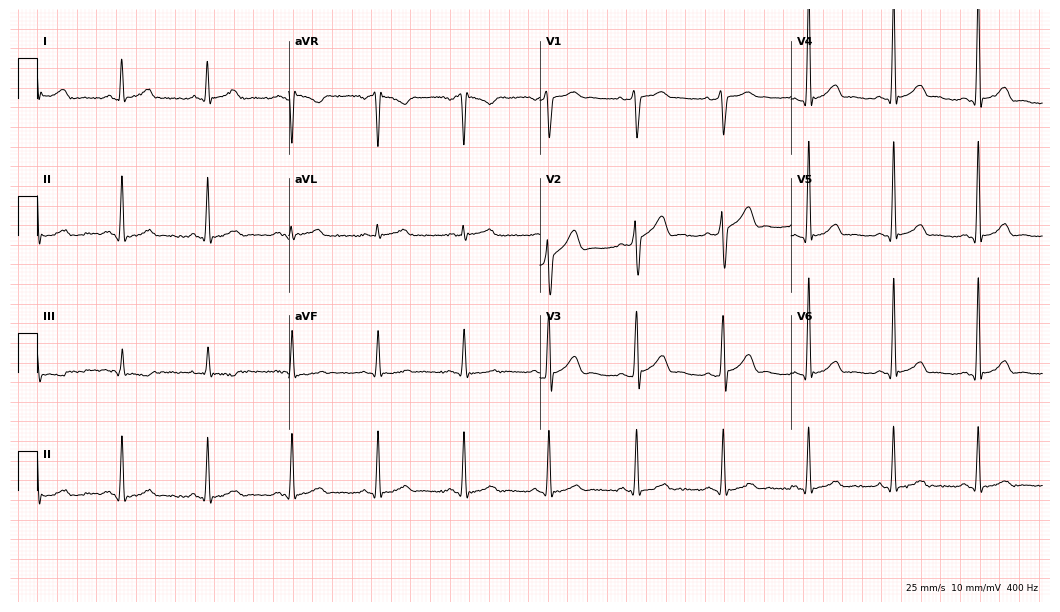
Electrocardiogram, a 44-year-old male patient. Of the six screened findings (first-degree AV block, right bundle branch block, left bundle branch block, sinus bradycardia, atrial fibrillation, sinus tachycardia), none is recorded. Findings outside these six are not listed.